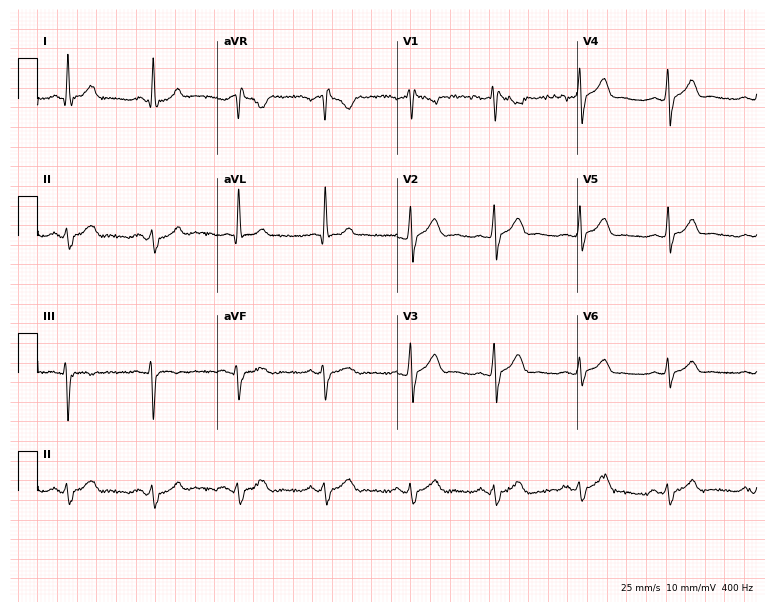
Standard 12-lead ECG recorded from a male patient, 35 years old (7.3-second recording at 400 Hz). None of these six findings is recorded: first-degree AV block, right bundle branch block (RBBB), left bundle branch block (LBBB), sinus bradycardia, atrial fibrillation (AF), sinus tachycardia.